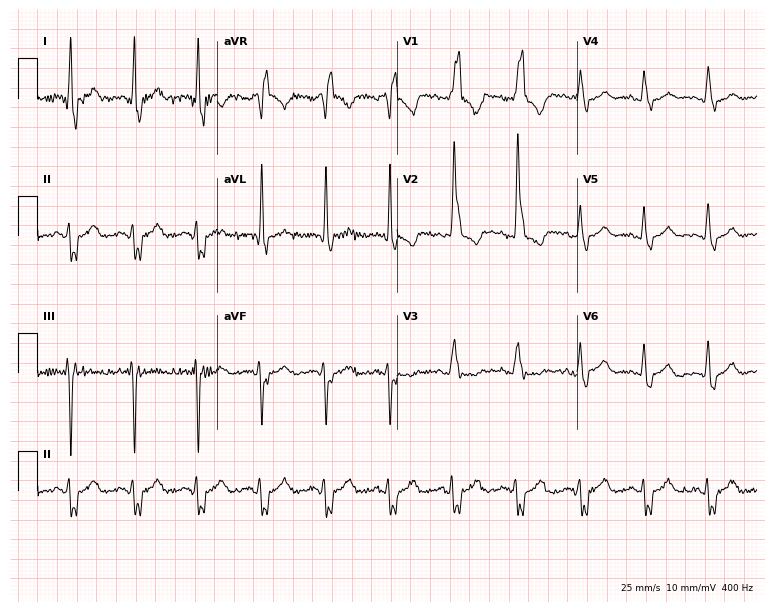
12-lead ECG from a 61-year-old man (7.3-second recording at 400 Hz). No first-degree AV block, right bundle branch block (RBBB), left bundle branch block (LBBB), sinus bradycardia, atrial fibrillation (AF) or sinus tachycardia recorded for this tracing. Findings outside these six are not listed.